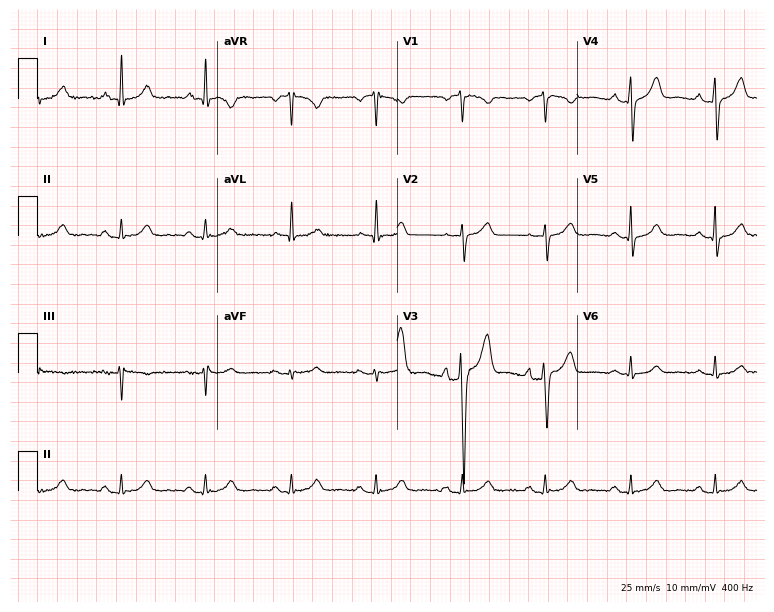
Standard 12-lead ECG recorded from a 64-year-old man. Read as a normal ECG.